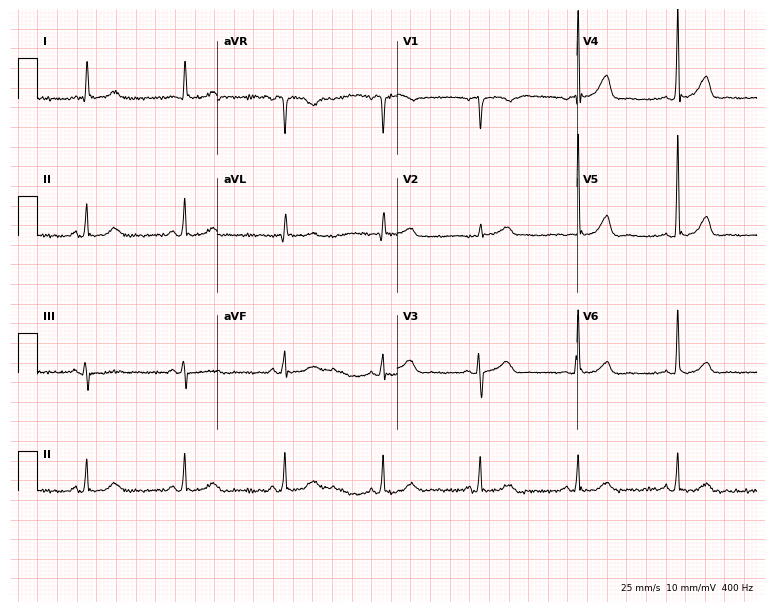
Electrocardiogram (7.3-second recording at 400 Hz), a 70-year-old female patient. Overall reading on record: normal ECG.